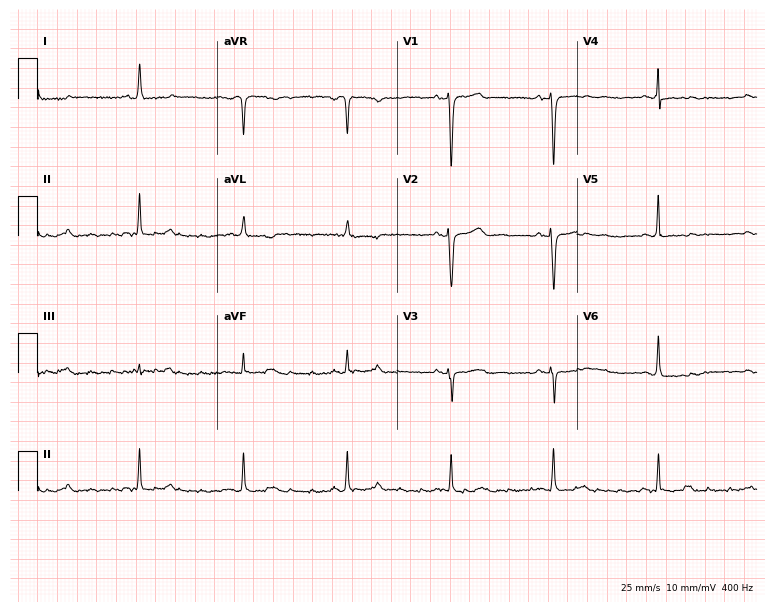
ECG — a female patient, 71 years old. Screened for six findings — first-degree AV block, right bundle branch block, left bundle branch block, sinus bradycardia, atrial fibrillation, sinus tachycardia — none is recorded.